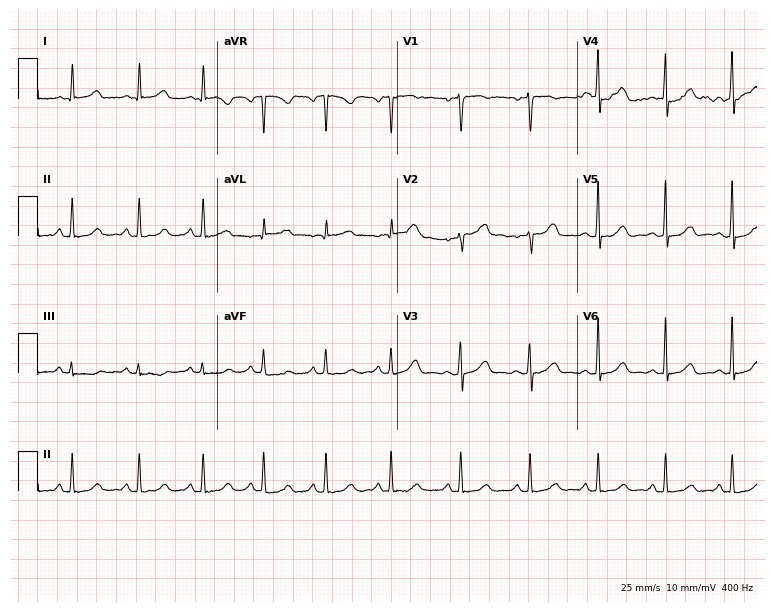
12-lead ECG from a 43-year-old female (7.3-second recording at 400 Hz). Recorded interpretation: within normal limits.